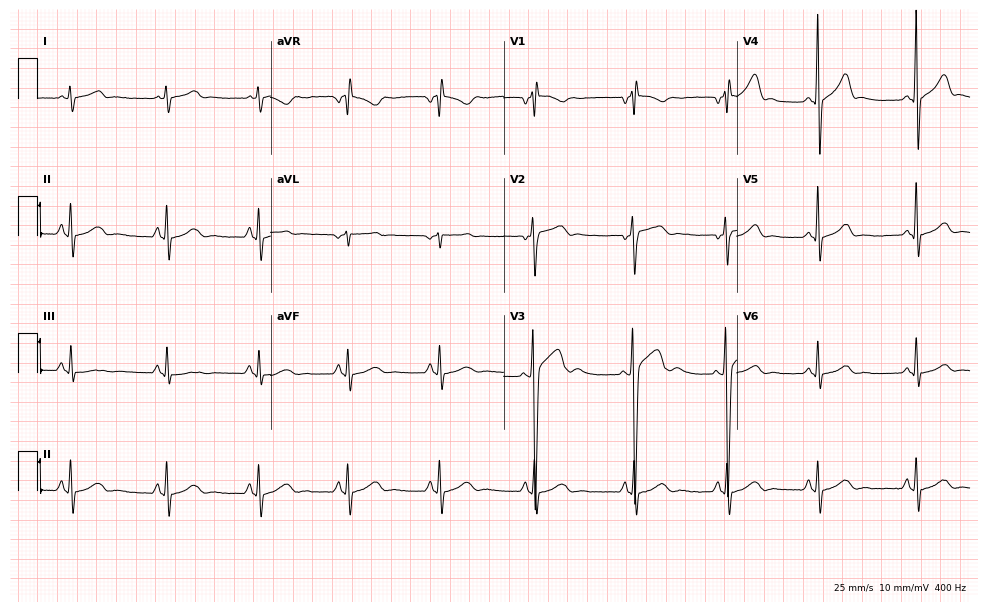
Resting 12-lead electrocardiogram (9.5-second recording at 400 Hz). Patient: a male, 17 years old. None of these six findings is recorded: first-degree AV block, right bundle branch block, left bundle branch block, sinus bradycardia, atrial fibrillation, sinus tachycardia. Findings outside these six are not listed.